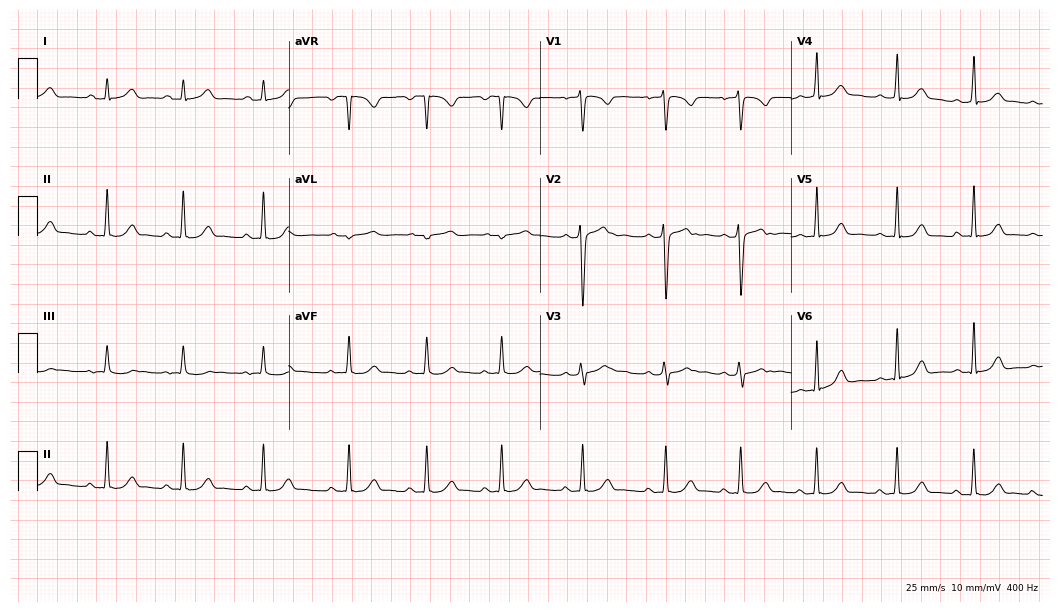
ECG (10.2-second recording at 400 Hz) — a 20-year-old woman. Labelled as a normal ECG.